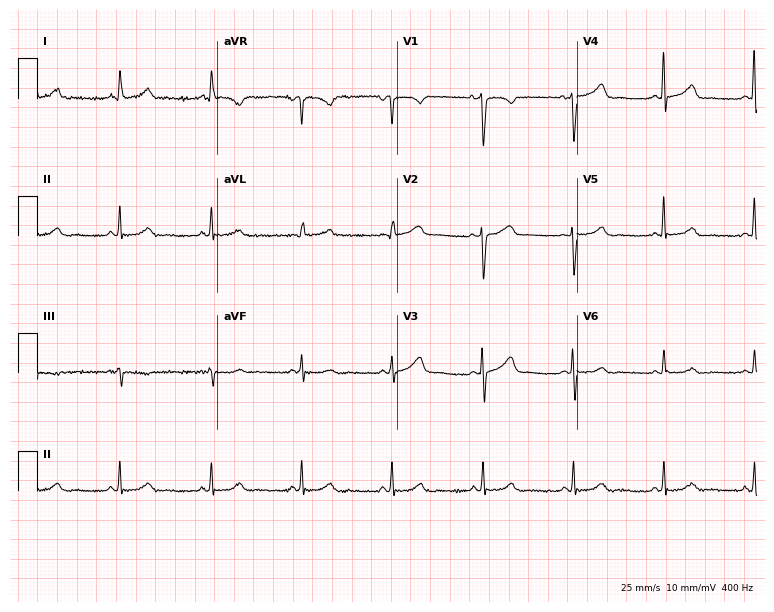
Resting 12-lead electrocardiogram (7.3-second recording at 400 Hz). Patient: a woman, 45 years old. Read as a normal ECG.